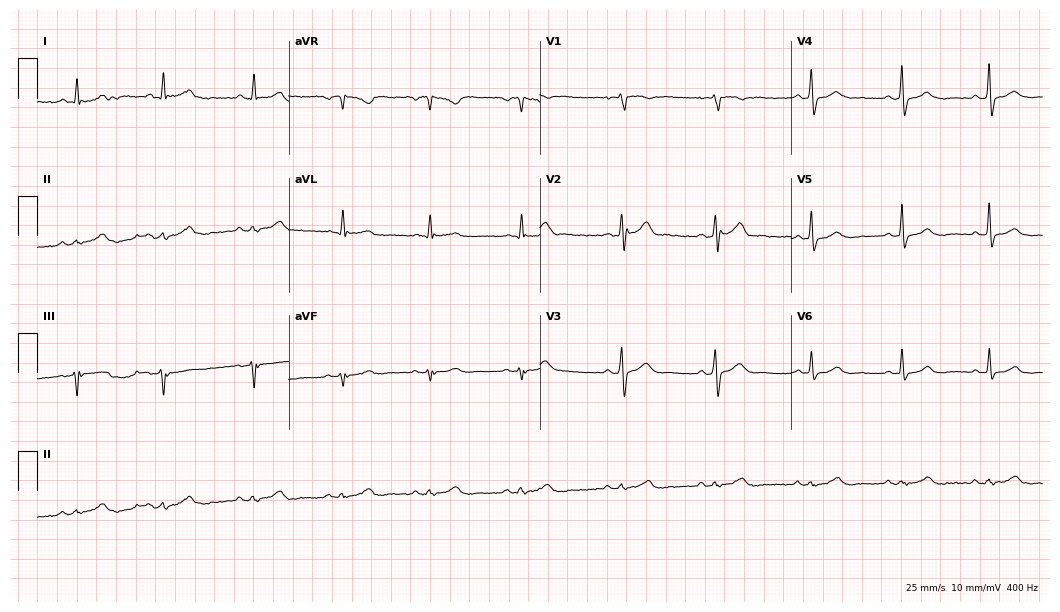
Standard 12-lead ECG recorded from a 59-year-old male (10.2-second recording at 400 Hz). Read as a normal ECG.